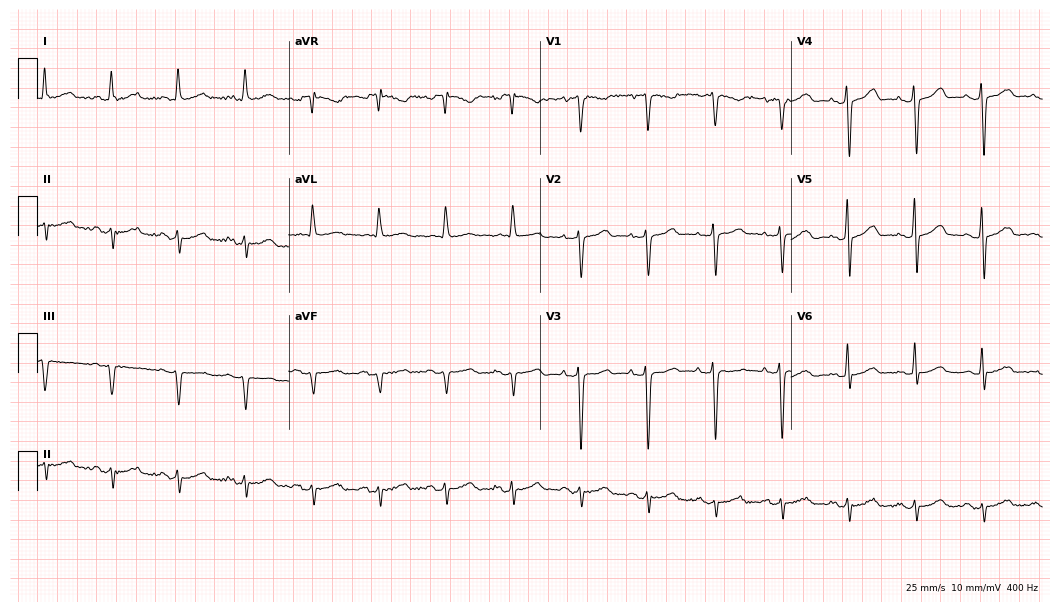
Standard 12-lead ECG recorded from a 62-year-old woman. None of these six findings is recorded: first-degree AV block, right bundle branch block (RBBB), left bundle branch block (LBBB), sinus bradycardia, atrial fibrillation (AF), sinus tachycardia.